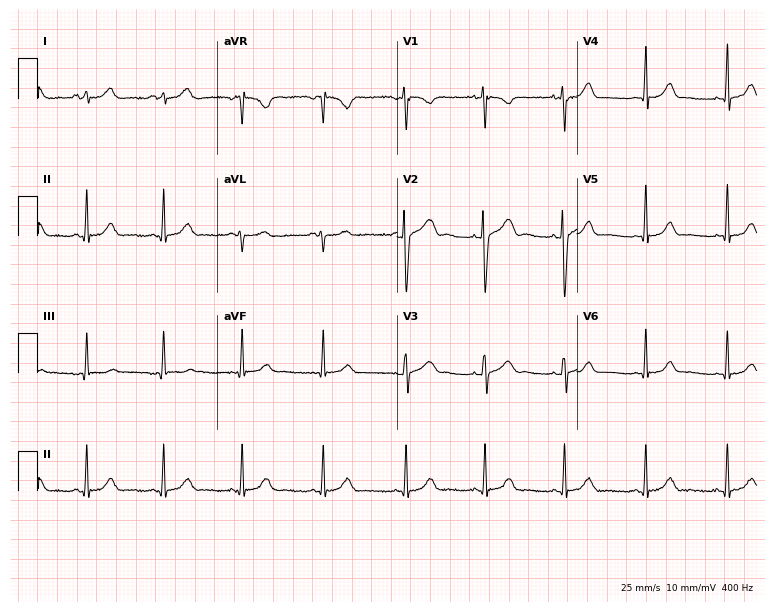
Standard 12-lead ECG recorded from a female, 24 years old (7.3-second recording at 400 Hz). Read as a normal ECG.